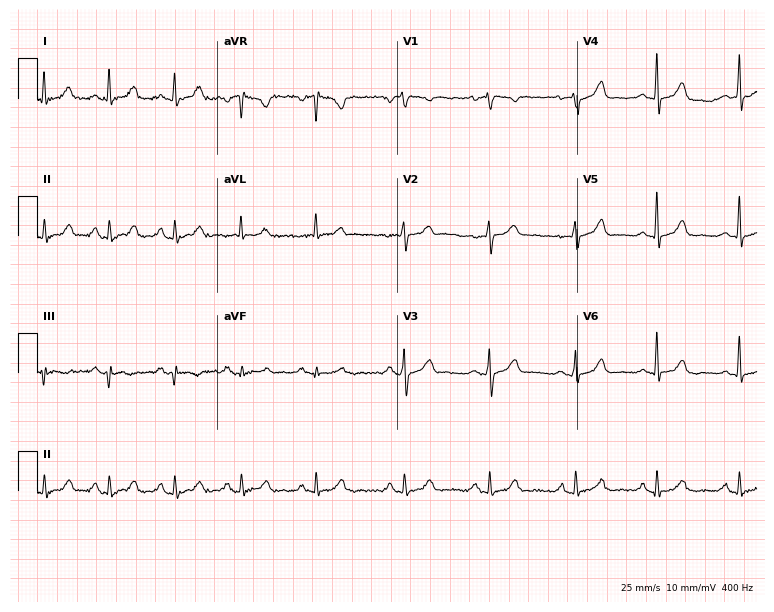
12-lead ECG from a 49-year-old female patient. No first-degree AV block, right bundle branch block, left bundle branch block, sinus bradycardia, atrial fibrillation or sinus tachycardia recorded for this tracing. Other findings, if any, are not listed.